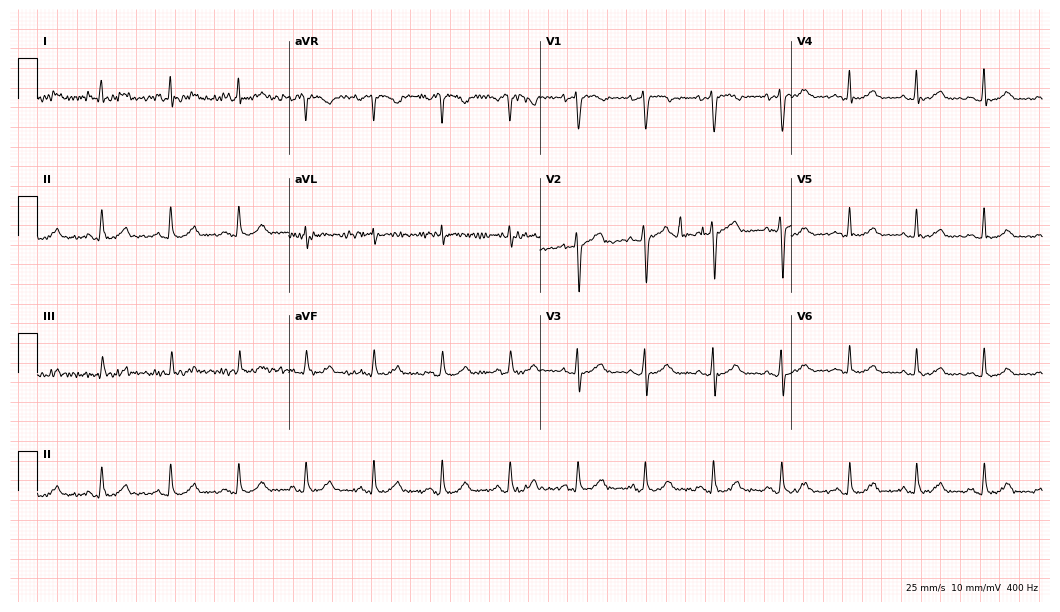
Electrocardiogram (10.2-second recording at 400 Hz), a 58-year-old female patient. Of the six screened findings (first-degree AV block, right bundle branch block, left bundle branch block, sinus bradycardia, atrial fibrillation, sinus tachycardia), none is recorded.